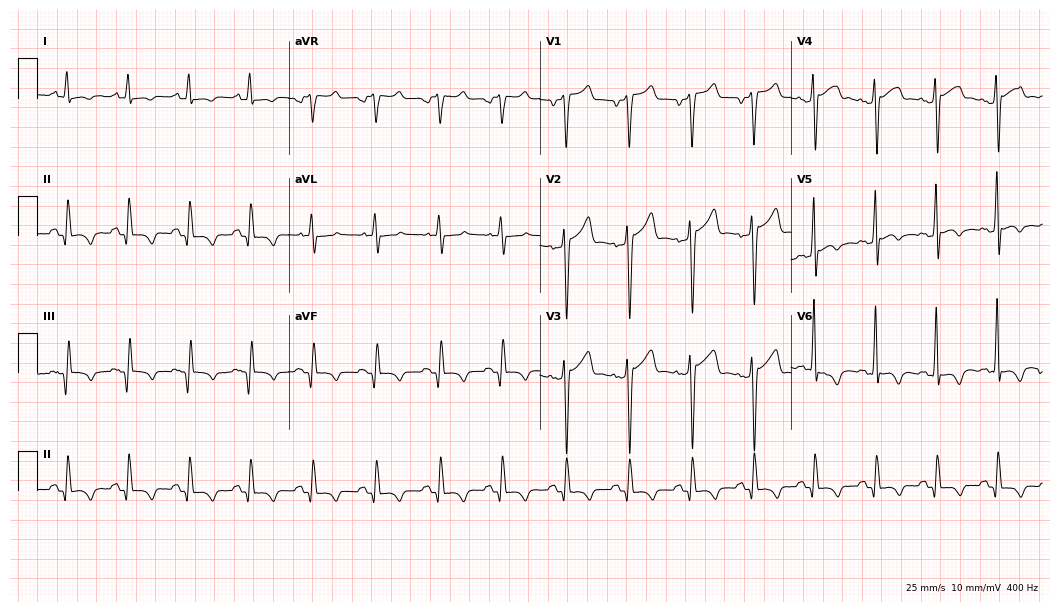
Standard 12-lead ECG recorded from a man, 42 years old. None of these six findings is recorded: first-degree AV block, right bundle branch block, left bundle branch block, sinus bradycardia, atrial fibrillation, sinus tachycardia.